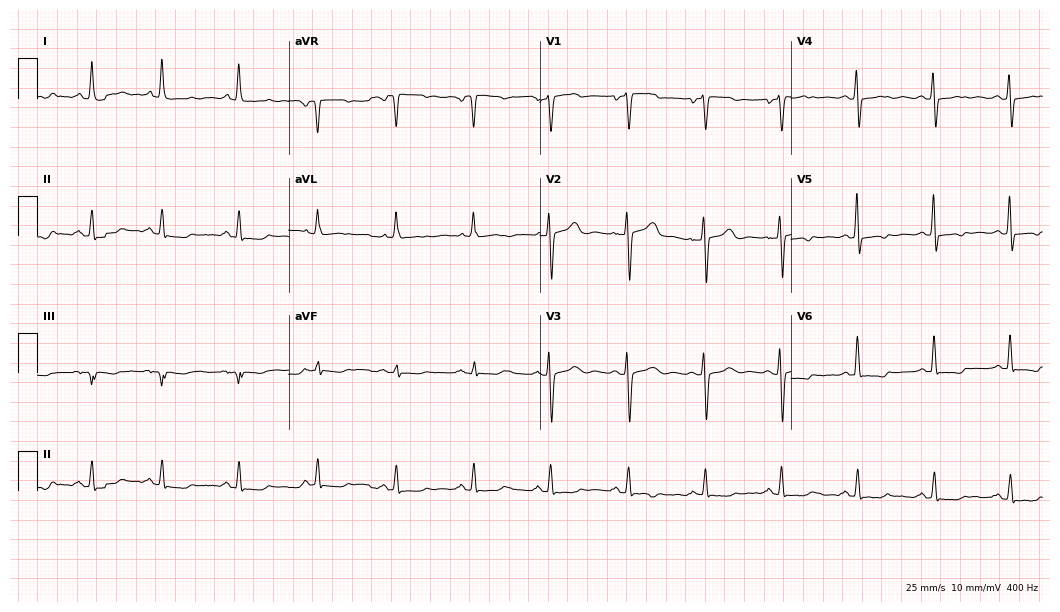
Electrocardiogram (10.2-second recording at 400 Hz), a female, 72 years old. Of the six screened findings (first-degree AV block, right bundle branch block, left bundle branch block, sinus bradycardia, atrial fibrillation, sinus tachycardia), none is recorded.